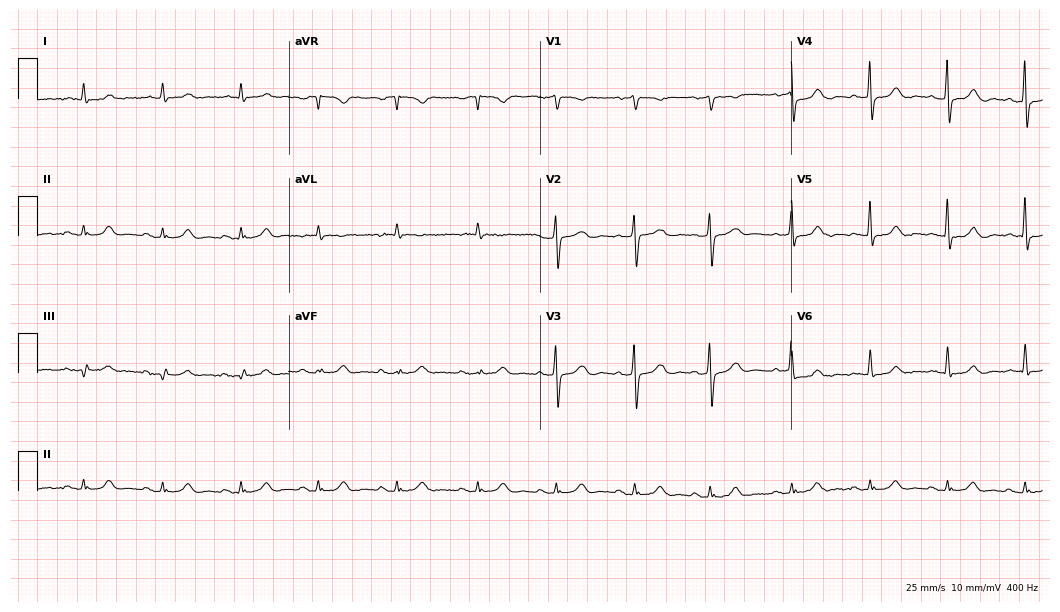
12-lead ECG from a male, 72 years old. Recorded interpretation: within normal limits.